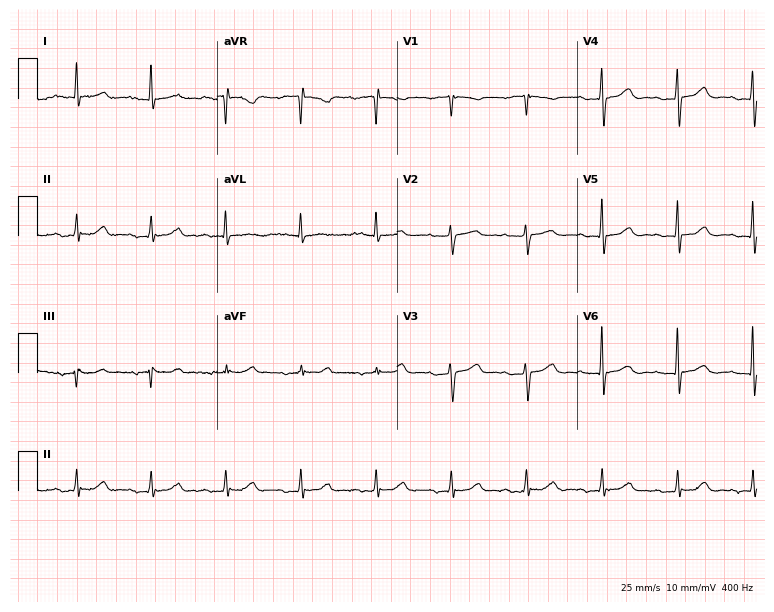
Electrocardiogram, a female, 77 years old. Interpretation includes first-degree AV block.